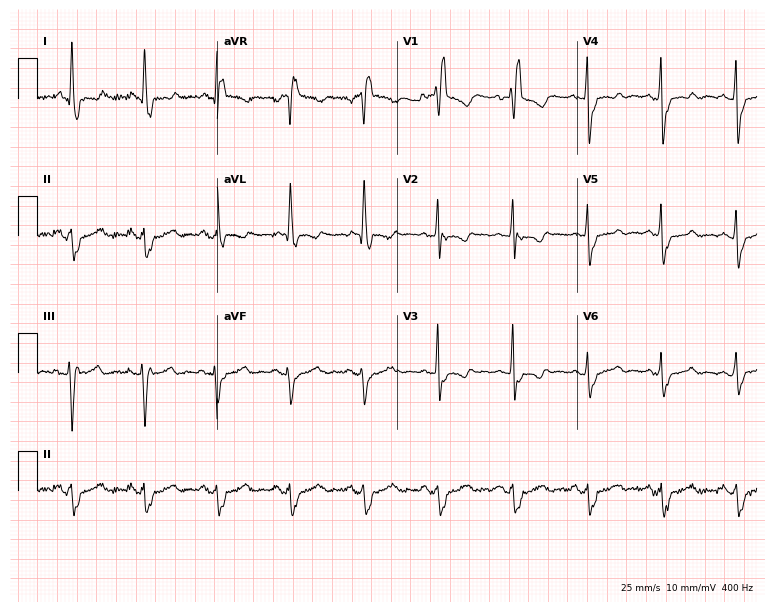
Resting 12-lead electrocardiogram (7.3-second recording at 400 Hz). Patient: a 64-year-old woman. The tracing shows right bundle branch block.